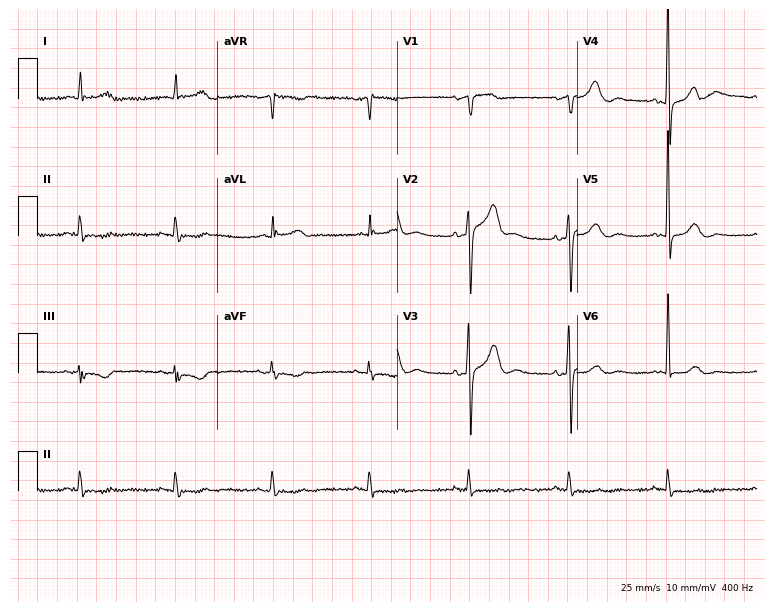
Standard 12-lead ECG recorded from a man, 62 years old (7.3-second recording at 400 Hz). None of these six findings is recorded: first-degree AV block, right bundle branch block (RBBB), left bundle branch block (LBBB), sinus bradycardia, atrial fibrillation (AF), sinus tachycardia. Findings outside these six are not listed.